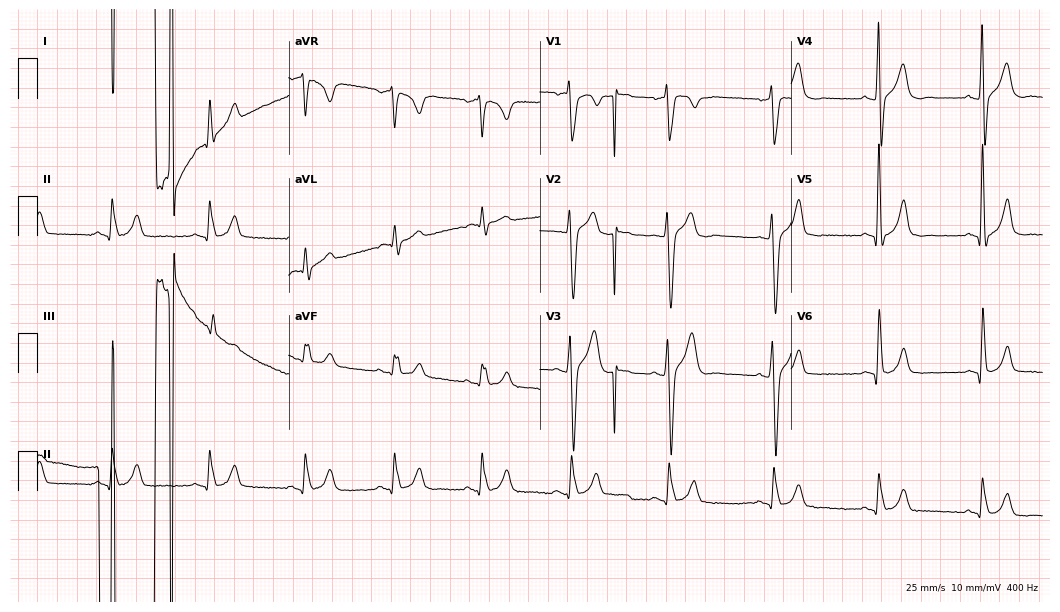
Electrocardiogram, a male, 29 years old. Of the six screened findings (first-degree AV block, right bundle branch block (RBBB), left bundle branch block (LBBB), sinus bradycardia, atrial fibrillation (AF), sinus tachycardia), none is recorded. Only these six findings were labelled.